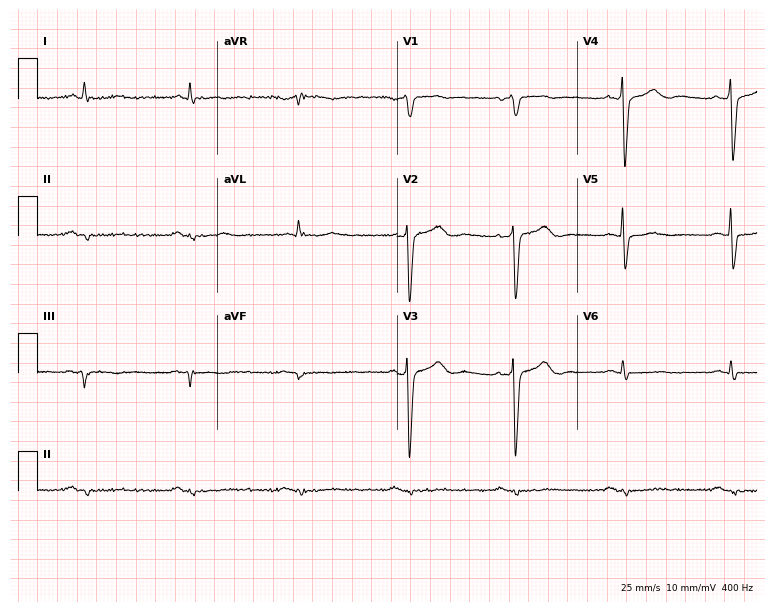
ECG — a 52-year-old male patient. Screened for six findings — first-degree AV block, right bundle branch block, left bundle branch block, sinus bradycardia, atrial fibrillation, sinus tachycardia — none is recorded.